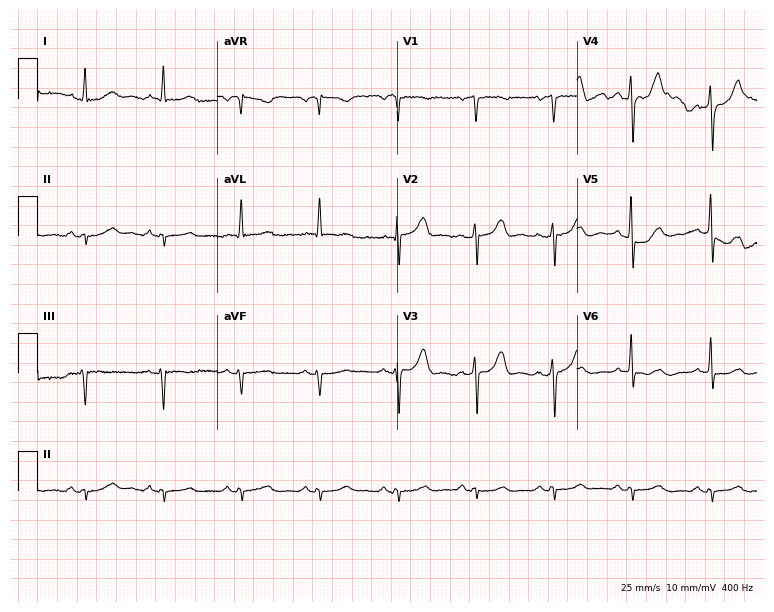
12-lead ECG from a 67-year-old male (7.3-second recording at 400 Hz). No first-degree AV block, right bundle branch block (RBBB), left bundle branch block (LBBB), sinus bradycardia, atrial fibrillation (AF) or sinus tachycardia recorded for this tracing. Findings outside these six are not listed.